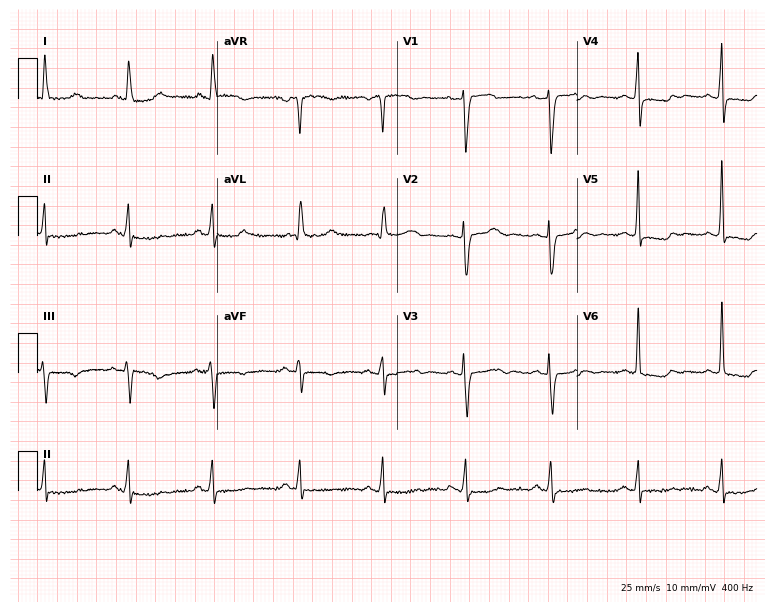
Electrocardiogram, a 59-year-old female patient. Of the six screened findings (first-degree AV block, right bundle branch block, left bundle branch block, sinus bradycardia, atrial fibrillation, sinus tachycardia), none is recorded. Only these six findings were labelled.